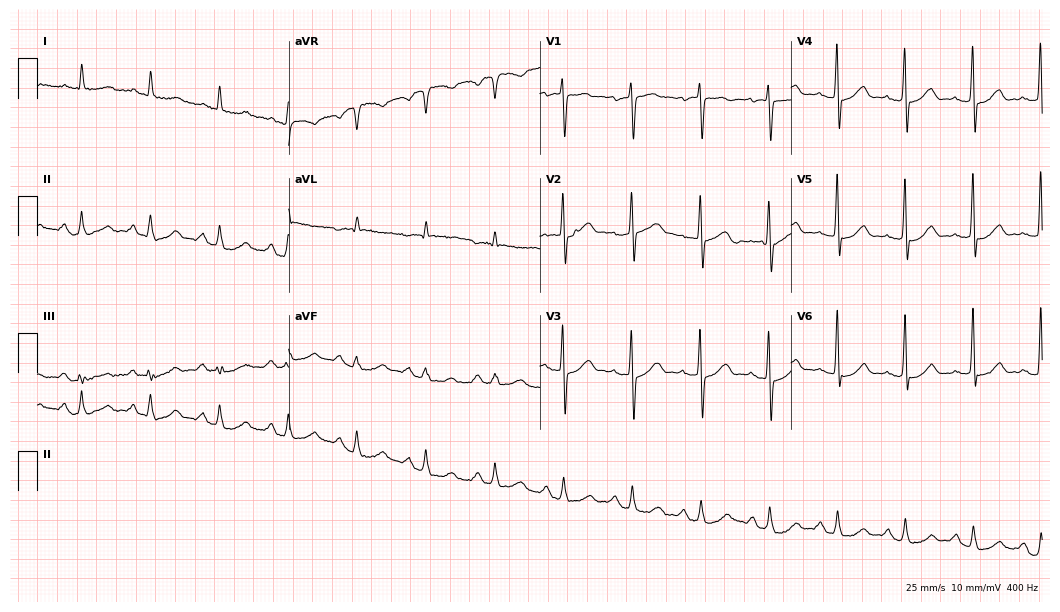
Standard 12-lead ECG recorded from a 78-year-old female patient. Read as a normal ECG.